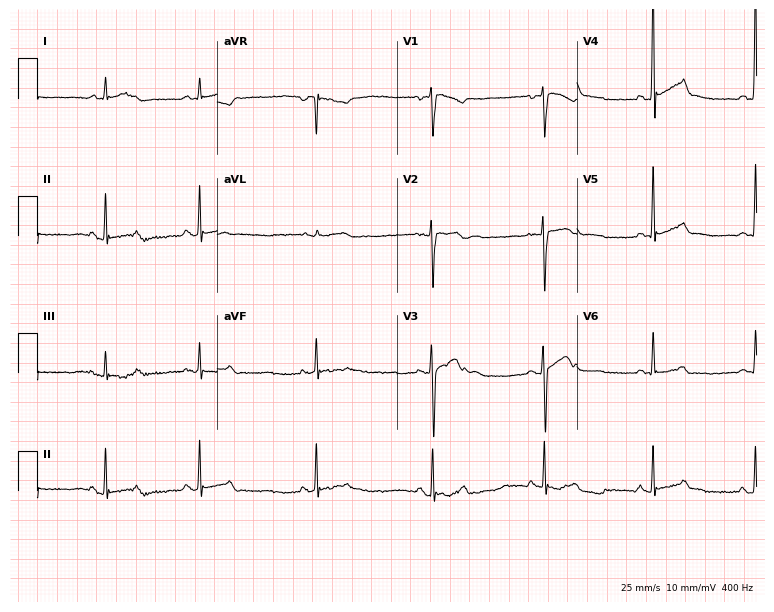
ECG (7.3-second recording at 400 Hz) — an 18-year-old man. Screened for six findings — first-degree AV block, right bundle branch block (RBBB), left bundle branch block (LBBB), sinus bradycardia, atrial fibrillation (AF), sinus tachycardia — none is recorded.